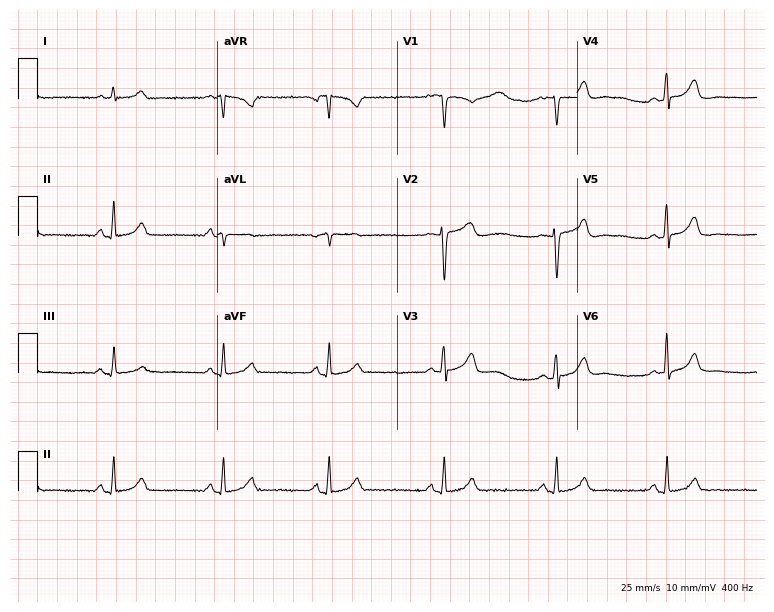
Standard 12-lead ECG recorded from a female patient, 50 years old (7.3-second recording at 400 Hz). Read as a normal ECG.